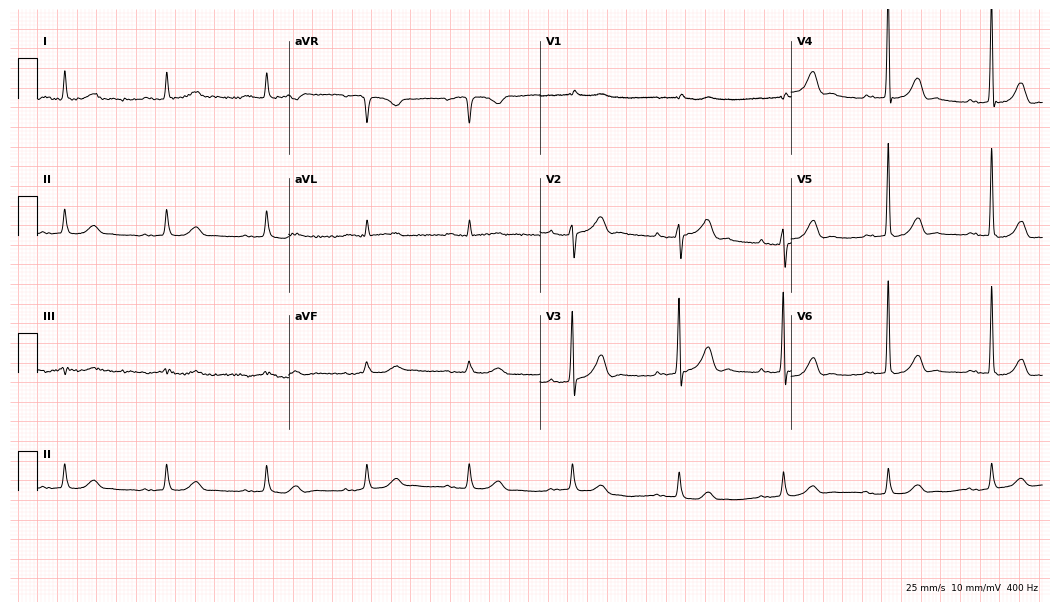
Standard 12-lead ECG recorded from an 80-year-old male (10.2-second recording at 400 Hz). Read as a normal ECG.